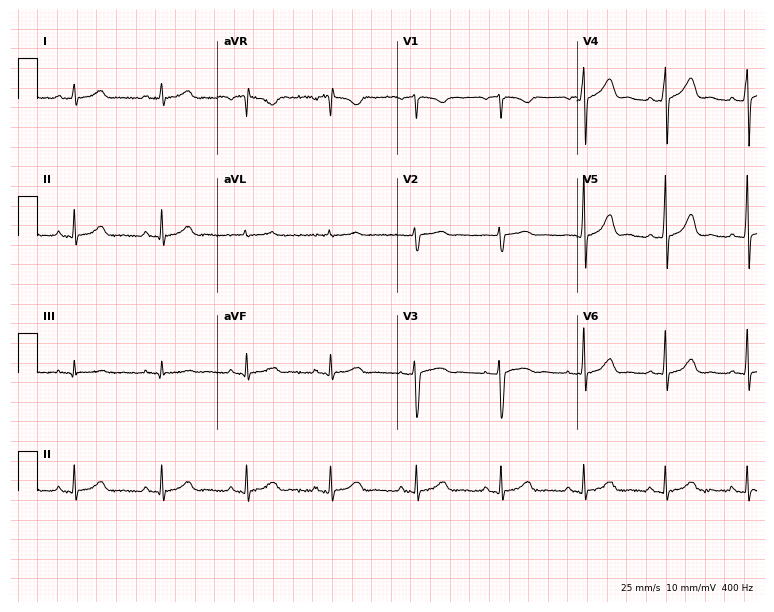
ECG (7.3-second recording at 400 Hz) — a 44-year-old female. Labelled as a normal ECG.